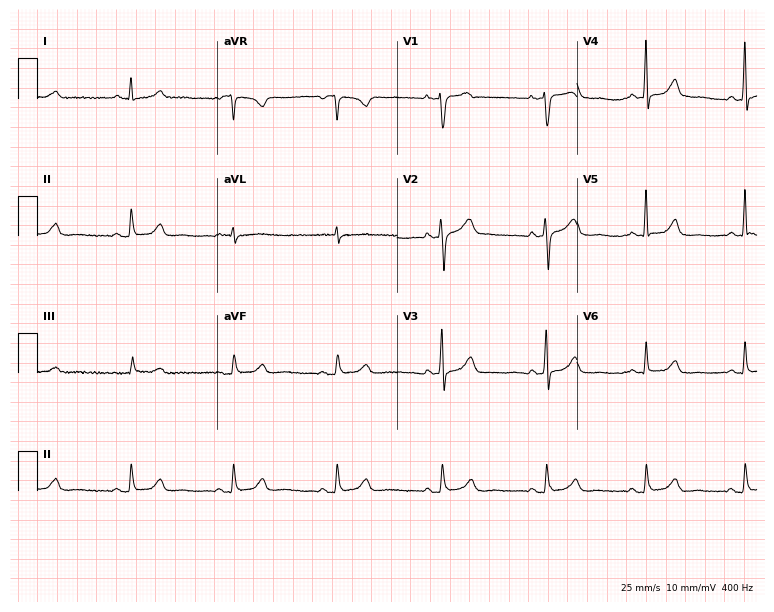
Resting 12-lead electrocardiogram. Patient: a female, 63 years old. Read as a normal ECG.